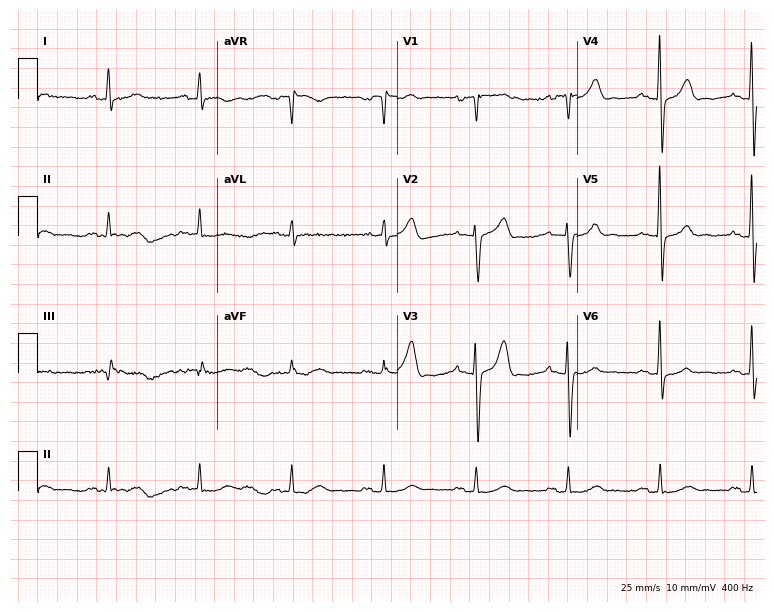
Resting 12-lead electrocardiogram. Patient: a male, 82 years old. Read as a normal ECG.